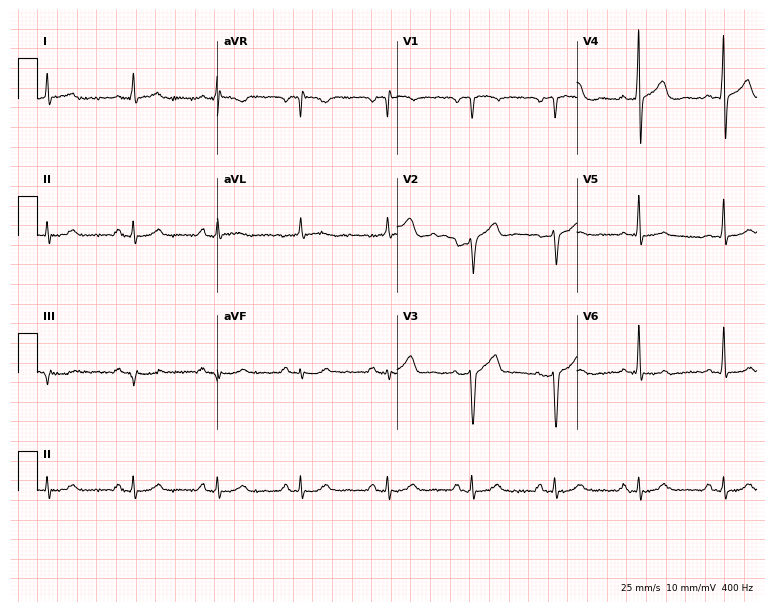
Standard 12-lead ECG recorded from a 62-year-old male patient. None of these six findings is recorded: first-degree AV block, right bundle branch block, left bundle branch block, sinus bradycardia, atrial fibrillation, sinus tachycardia. Only these six findings were labelled.